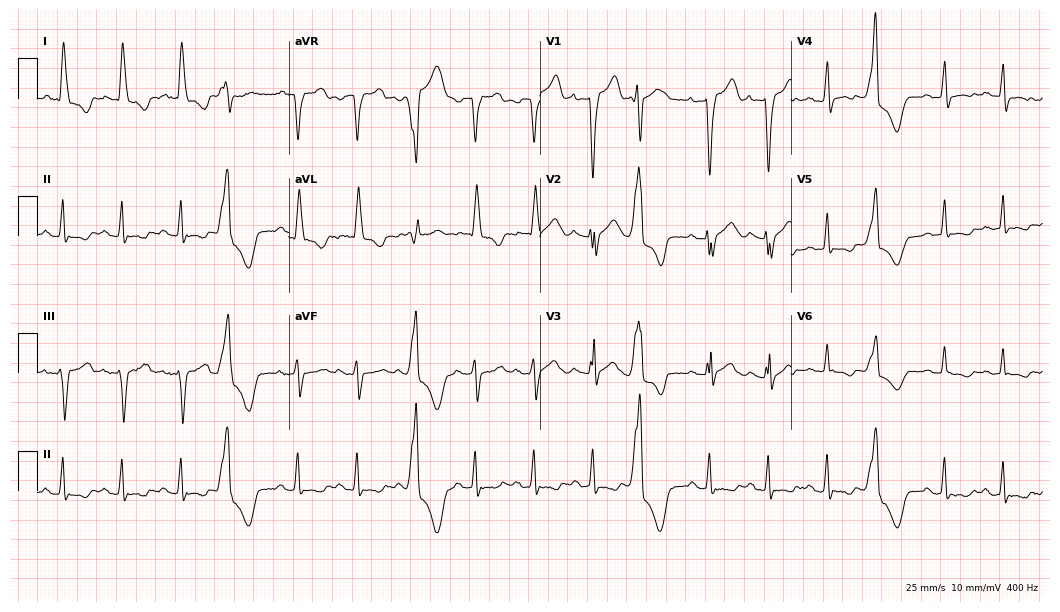
12-lead ECG (10.2-second recording at 400 Hz) from a woman, 83 years old. Findings include sinus tachycardia (a sinus rate of 100 beats per minute or more).